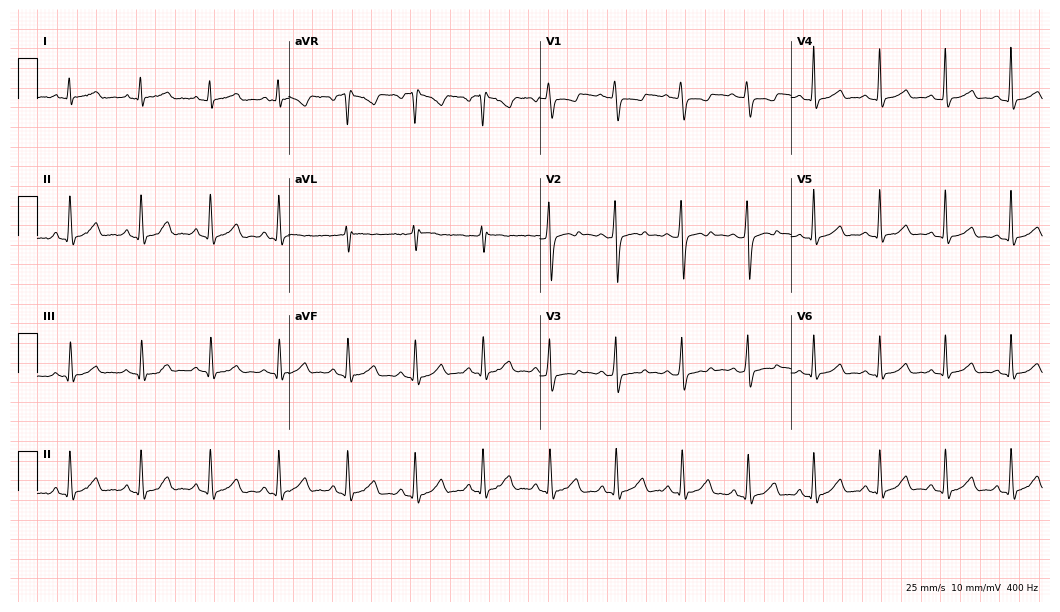
Electrocardiogram, a 30-year-old woman. Of the six screened findings (first-degree AV block, right bundle branch block, left bundle branch block, sinus bradycardia, atrial fibrillation, sinus tachycardia), none is recorded.